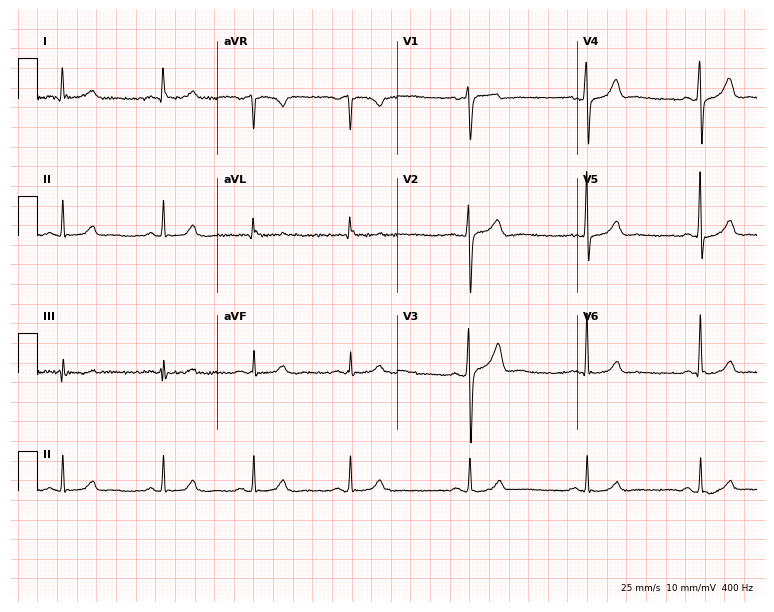
12-lead ECG from a male patient, 48 years old. Labelled as a normal ECG.